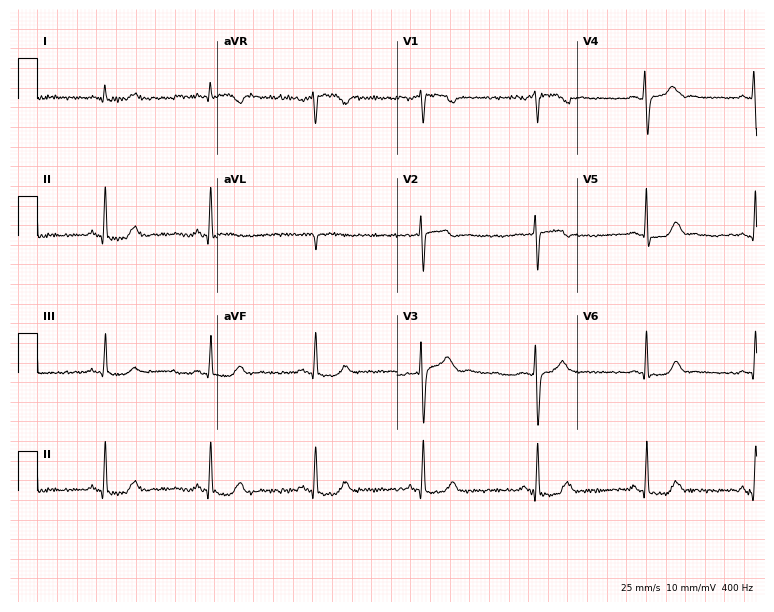
12-lead ECG from a 45-year-old female (7.3-second recording at 400 Hz). No first-degree AV block, right bundle branch block, left bundle branch block, sinus bradycardia, atrial fibrillation or sinus tachycardia recorded for this tracing. Only these six findings were labelled.